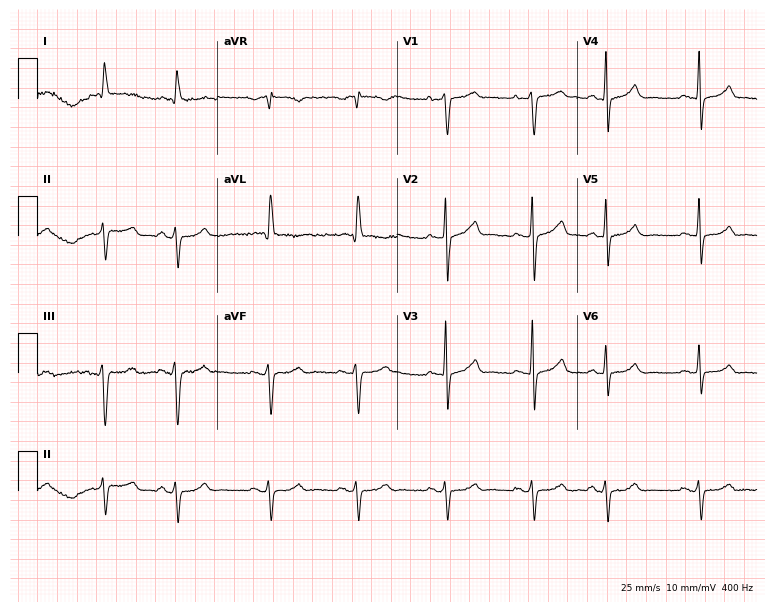
Electrocardiogram, a male, 81 years old. Of the six screened findings (first-degree AV block, right bundle branch block, left bundle branch block, sinus bradycardia, atrial fibrillation, sinus tachycardia), none is recorded.